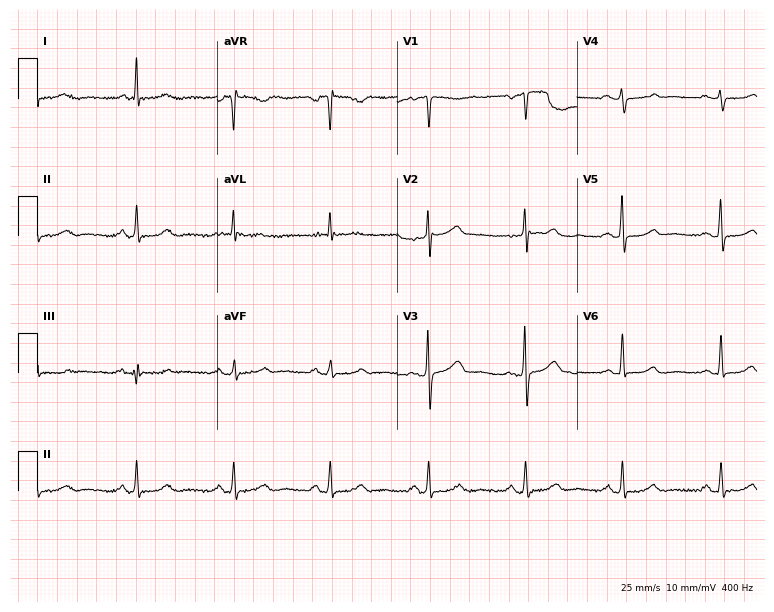
12-lead ECG from a 65-year-old male. Recorded interpretation: within normal limits.